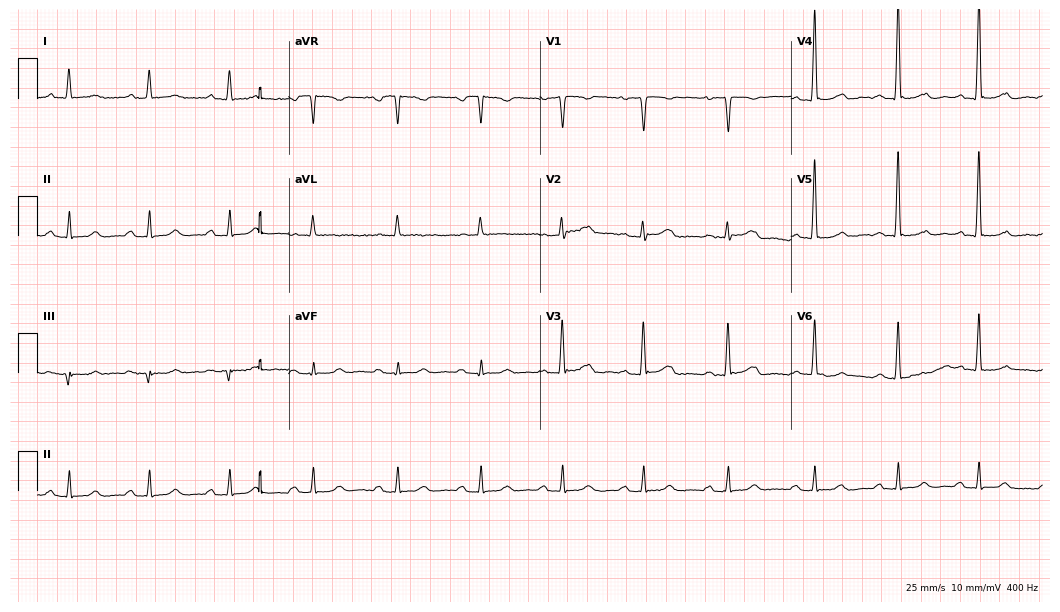
ECG (10.2-second recording at 400 Hz) — a 74-year-old male patient. Findings include first-degree AV block.